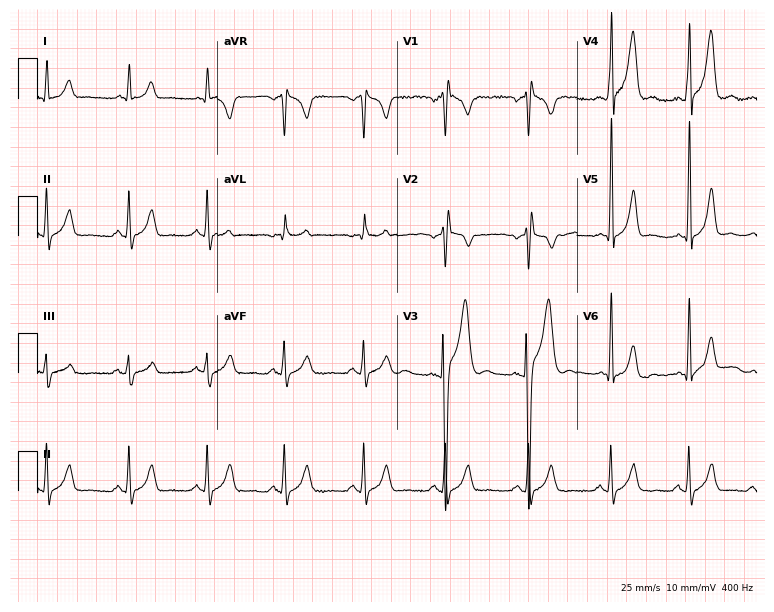
Electrocardiogram (7.3-second recording at 400 Hz), a male, 19 years old. Of the six screened findings (first-degree AV block, right bundle branch block, left bundle branch block, sinus bradycardia, atrial fibrillation, sinus tachycardia), none is recorded.